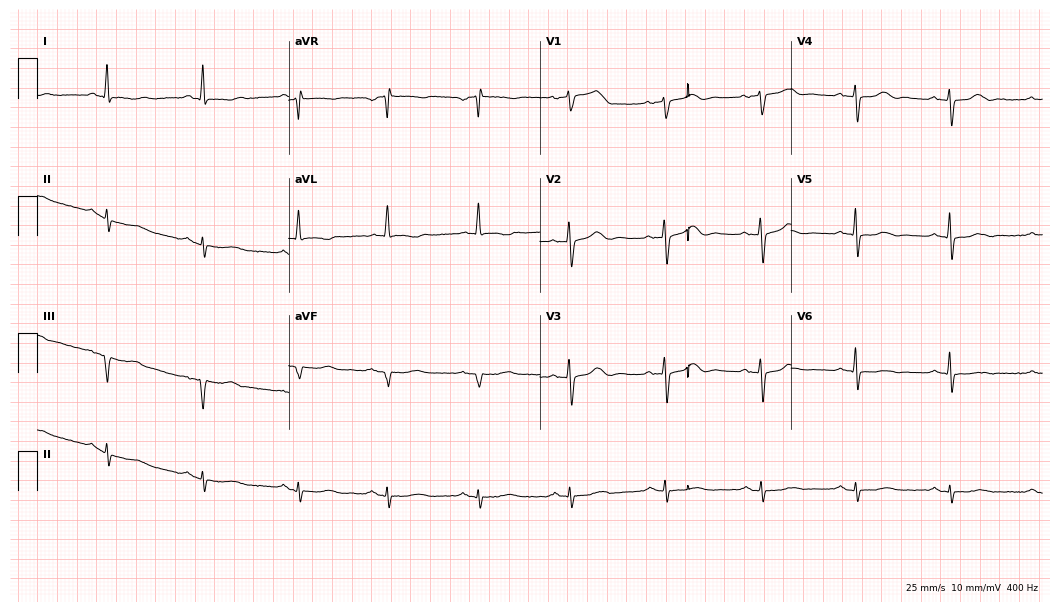
12-lead ECG from a woman, 79 years old. Screened for six findings — first-degree AV block, right bundle branch block, left bundle branch block, sinus bradycardia, atrial fibrillation, sinus tachycardia — none is recorded.